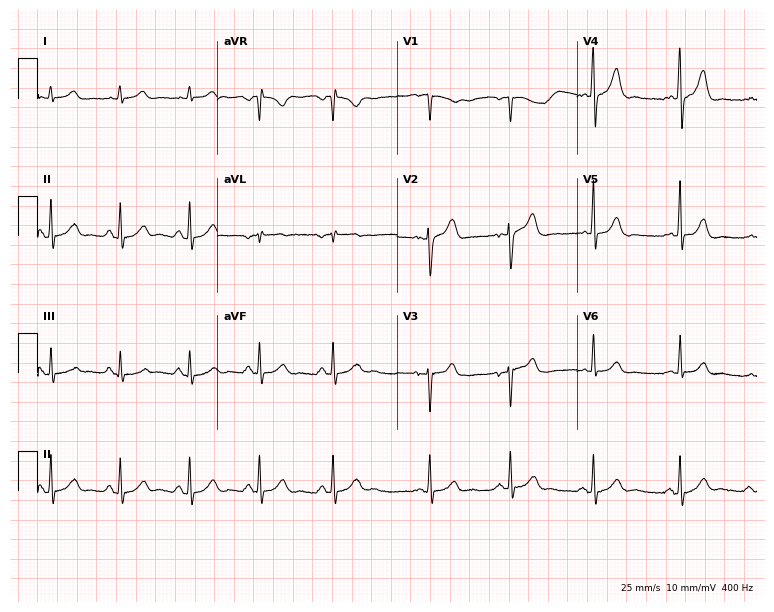
Standard 12-lead ECG recorded from a 47-year-old male (7.3-second recording at 400 Hz). None of these six findings is recorded: first-degree AV block, right bundle branch block (RBBB), left bundle branch block (LBBB), sinus bradycardia, atrial fibrillation (AF), sinus tachycardia. Only these six findings were labelled.